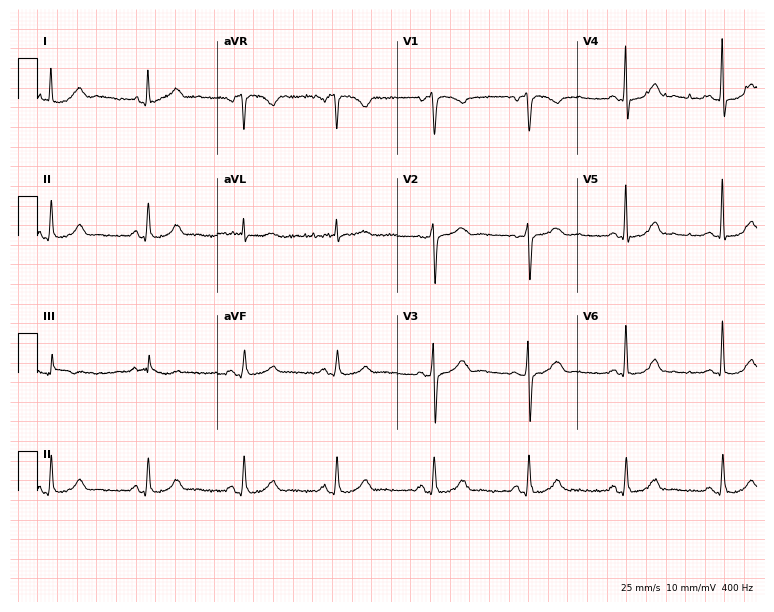
Electrocardiogram, a woman, 64 years old. Overall reading on record: normal ECG.